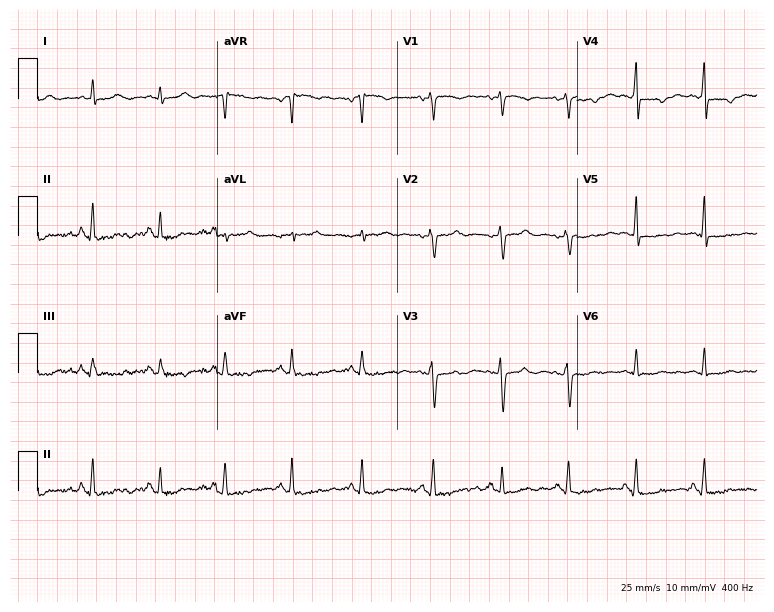
Electrocardiogram, a 46-year-old female. Of the six screened findings (first-degree AV block, right bundle branch block, left bundle branch block, sinus bradycardia, atrial fibrillation, sinus tachycardia), none is recorded.